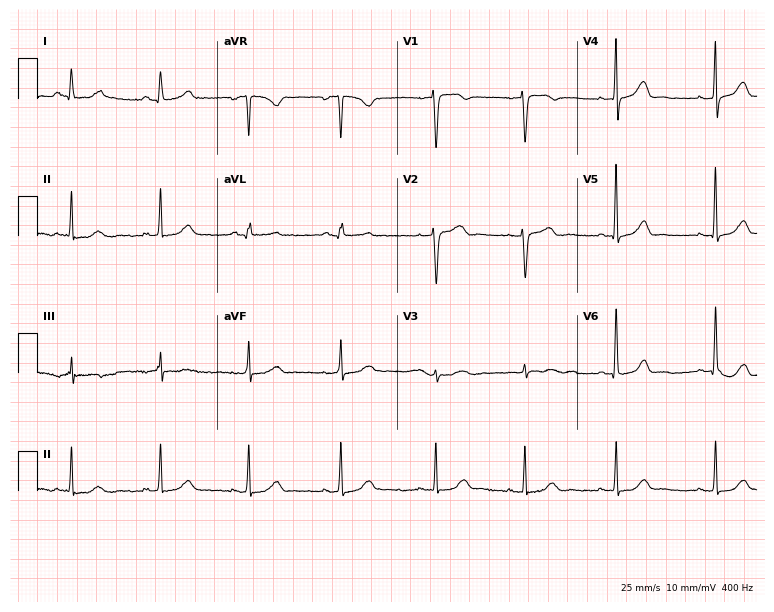
Electrocardiogram (7.3-second recording at 400 Hz), a 46-year-old female. Of the six screened findings (first-degree AV block, right bundle branch block, left bundle branch block, sinus bradycardia, atrial fibrillation, sinus tachycardia), none is recorded. Other findings, if any, are not listed.